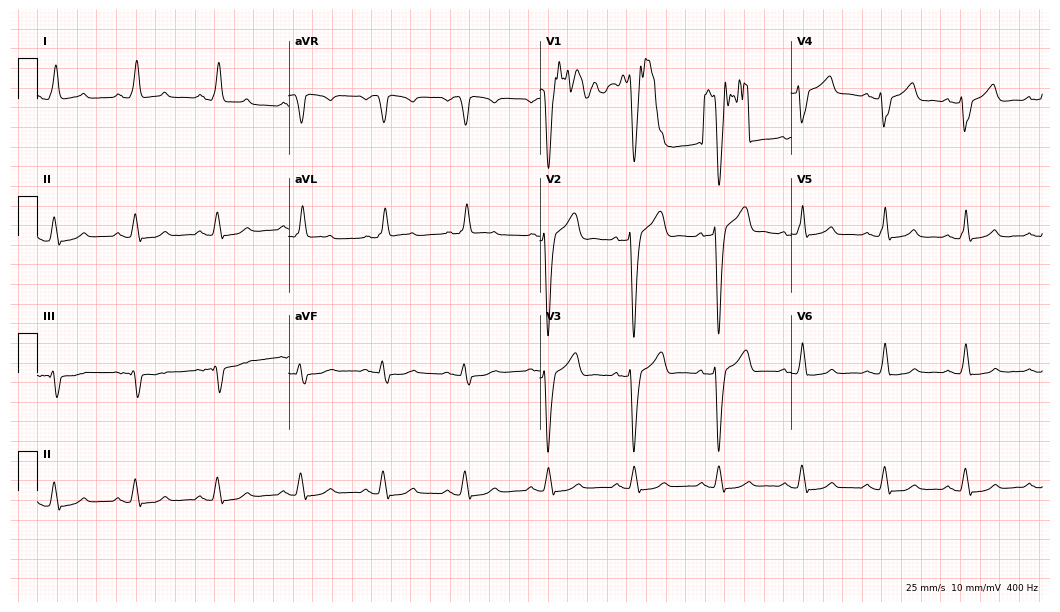
12-lead ECG from a man, 65 years old. Findings include left bundle branch block (LBBB).